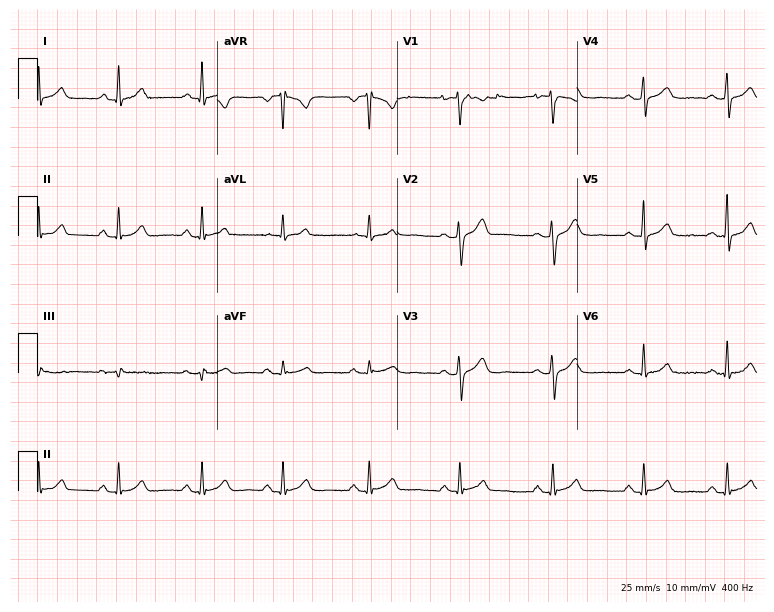
Standard 12-lead ECG recorded from a 40-year-old woman (7.3-second recording at 400 Hz). None of these six findings is recorded: first-degree AV block, right bundle branch block (RBBB), left bundle branch block (LBBB), sinus bradycardia, atrial fibrillation (AF), sinus tachycardia.